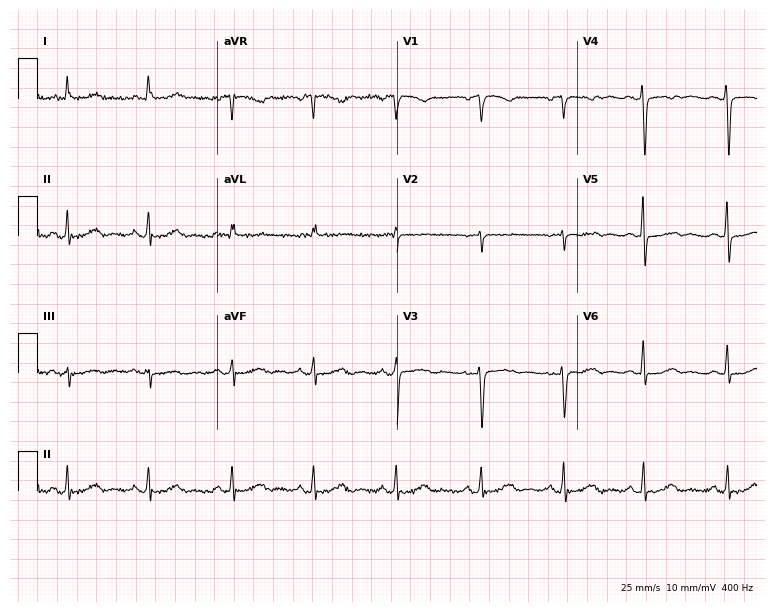
Standard 12-lead ECG recorded from a 77-year-old female (7.3-second recording at 400 Hz). None of these six findings is recorded: first-degree AV block, right bundle branch block, left bundle branch block, sinus bradycardia, atrial fibrillation, sinus tachycardia. Only these six findings were labelled.